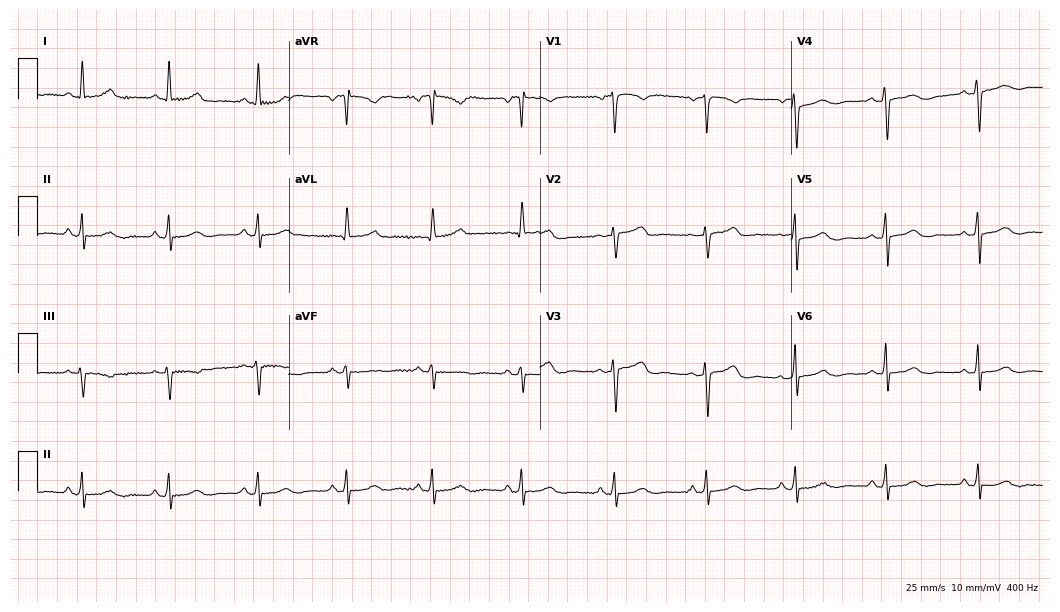
Resting 12-lead electrocardiogram (10.2-second recording at 400 Hz). Patient: a female, 63 years old. Read as a normal ECG.